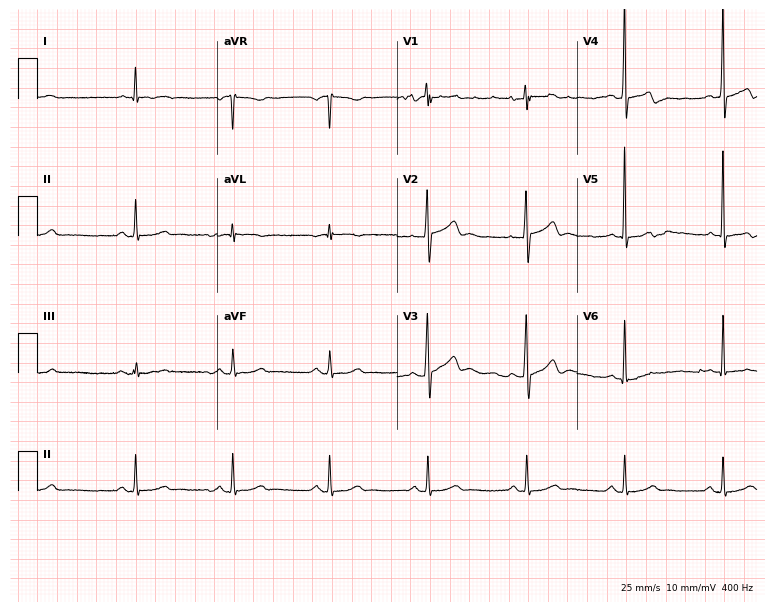
Electrocardiogram (7.3-second recording at 400 Hz), a male, 75 years old. Of the six screened findings (first-degree AV block, right bundle branch block, left bundle branch block, sinus bradycardia, atrial fibrillation, sinus tachycardia), none is recorded.